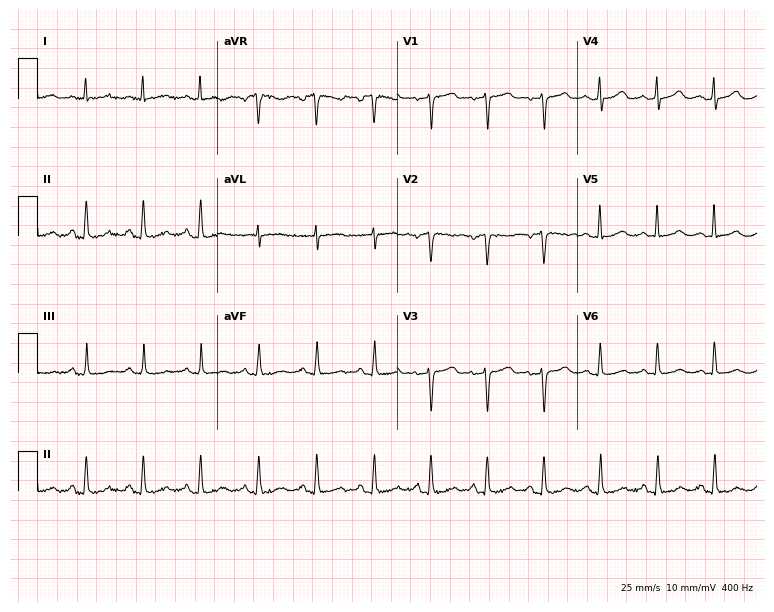
12-lead ECG from a 45-year-old female patient. Findings include sinus tachycardia (a sinus rate of 100 beats per minute or more).